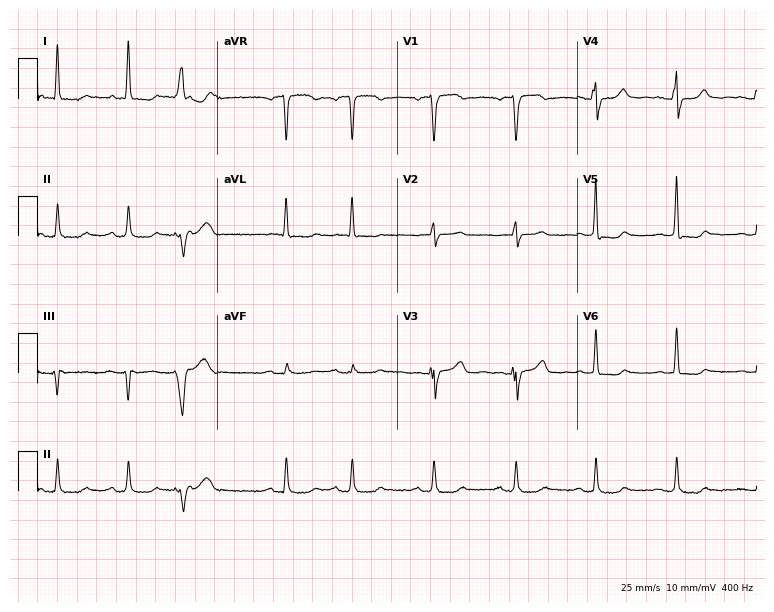
Resting 12-lead electrocardiogram. Patient: a female, 64 years old. None of these six findings is recorded: first-degree AV block, right bundle branch block (RBBB), left bundle branch block (LBBB), sinus bradycardia, atrial fibrillation (AF), sinus tachycardia.